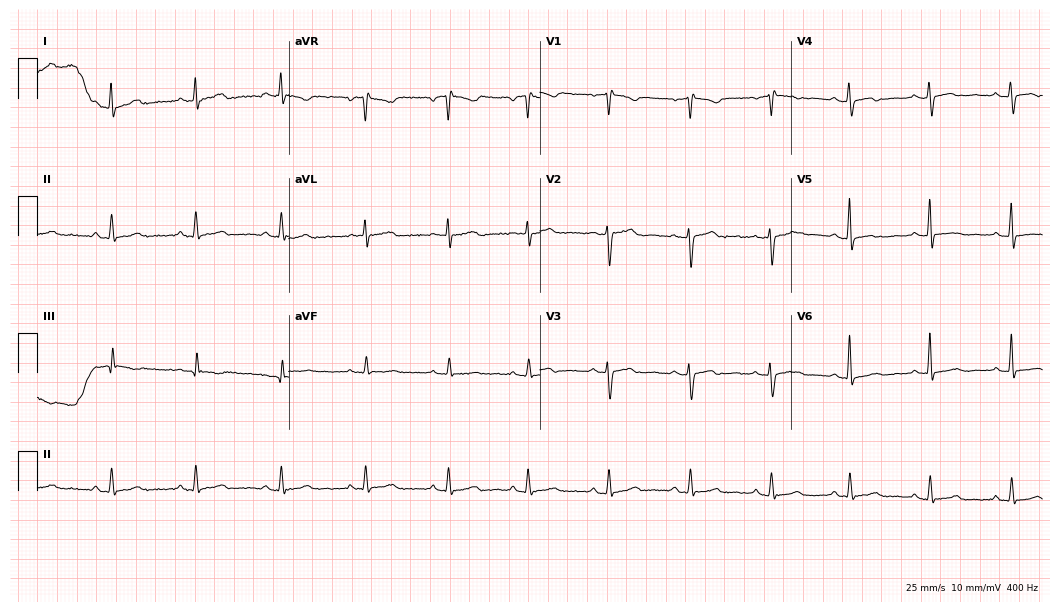
ECG (10.2-second recording at 400 Hz) — a 47-year-old female patient. Screened for six findings — first-degree AV block, right bundle branch block, left bundle branch block, sinus bradycardia, atrial fibrillation, sinus tachycardia — none is recorded. Other findings, if any, are not listed.